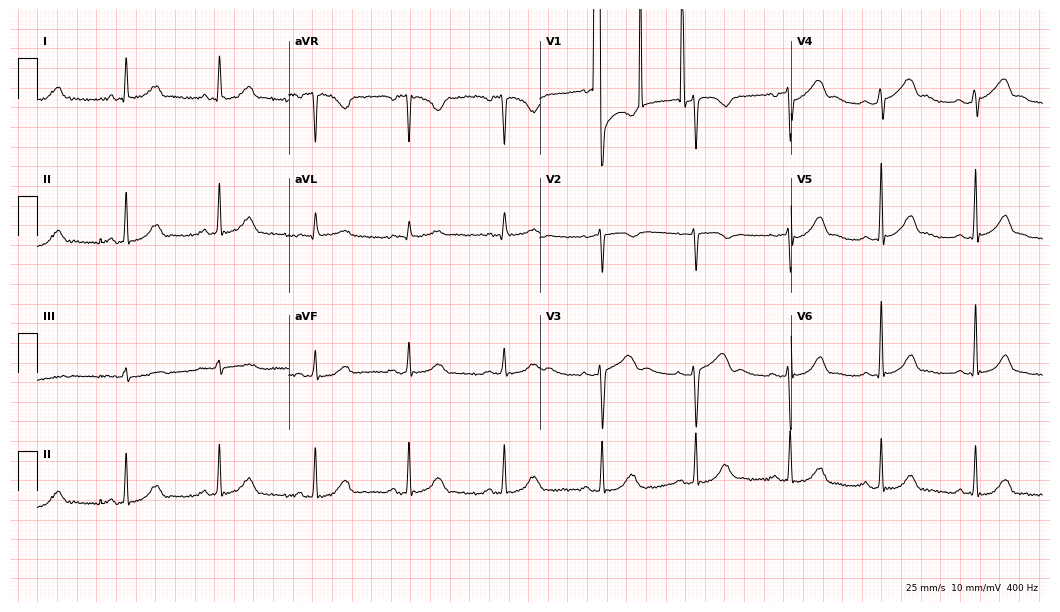
Electrocardiogram, a woman, 42 years old. Of the six screened findings (first-degree AV block, right bundle branch block, left bundle branch block, sinus bradycardia, atrial fibrillation, sinus tachycardia), none is recorded. Findings outside these six are not listed.